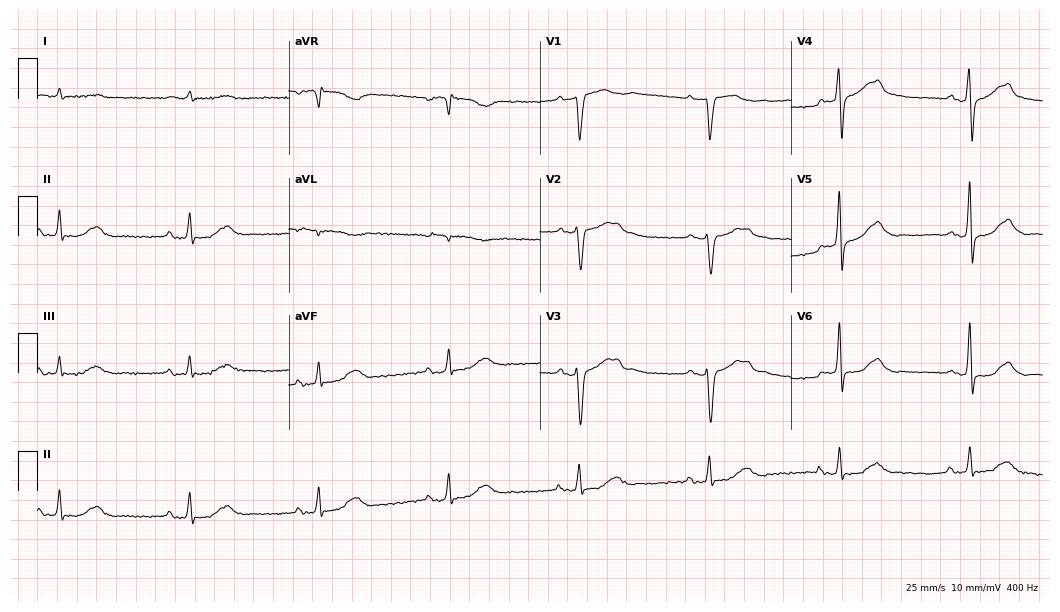
ECG — a male, 81 years old. Findings include sinus bradycardia (a sinus rate of 50 beats per minute or less).